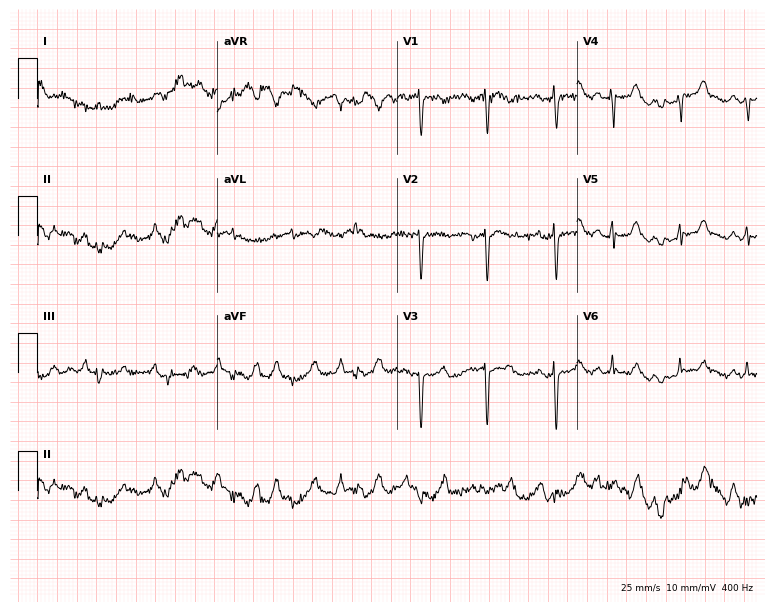
ECG — a male, 78 years old. Screened for six findings — first-degree AV block, right bundle branch block, left bundle branch block, sinus bradycardia, atrial fibrillation, sinus tachycardia — none is recorded. Other findings, if any, are not listed.